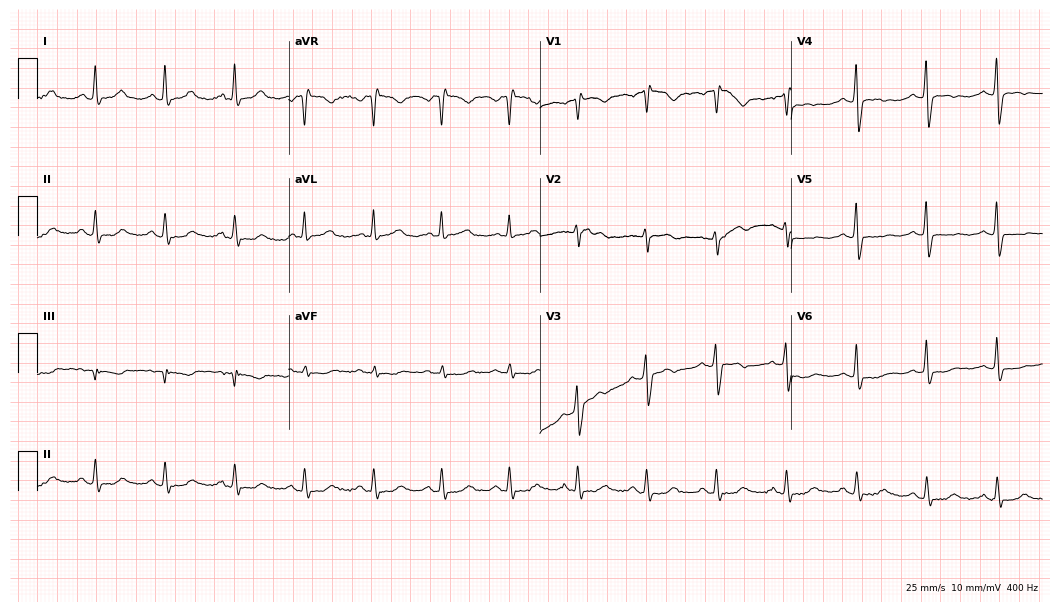
Resting 12-lead electrocardiogram (10.2-second recording at 400 Hz). Patient: a female, 64 years old. None of these six findings is recorded: first-degree AV block, right bundle branch block, left bundle branch block, sinus bradycardia, atrial fibrillation, sinus tachycardia. Other findings, if any, are not listed.